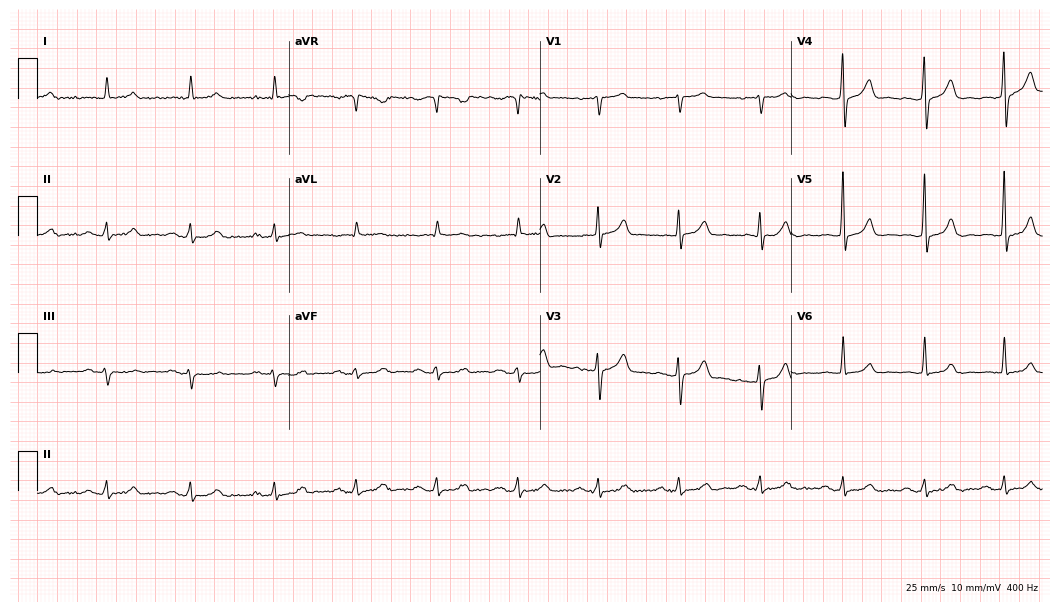
12-lead ECG from an 83-year-old man. Recorded interpretation: within normal limits.